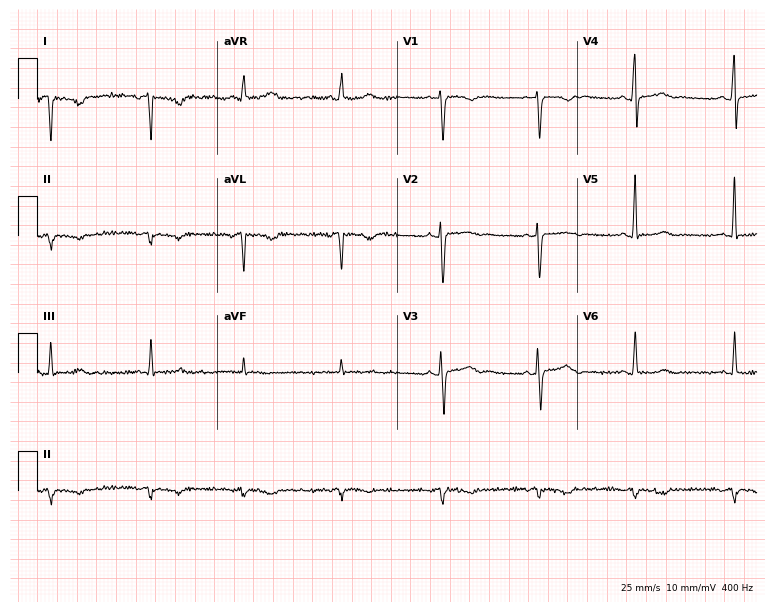
12-lead ECG from a 37-year-old female patient. No first-degree AV block, right bundle branch block, left bundle branch block, sinus bradycardia, atrial fibrillation or sinus tachycardia recorded for this tracing.